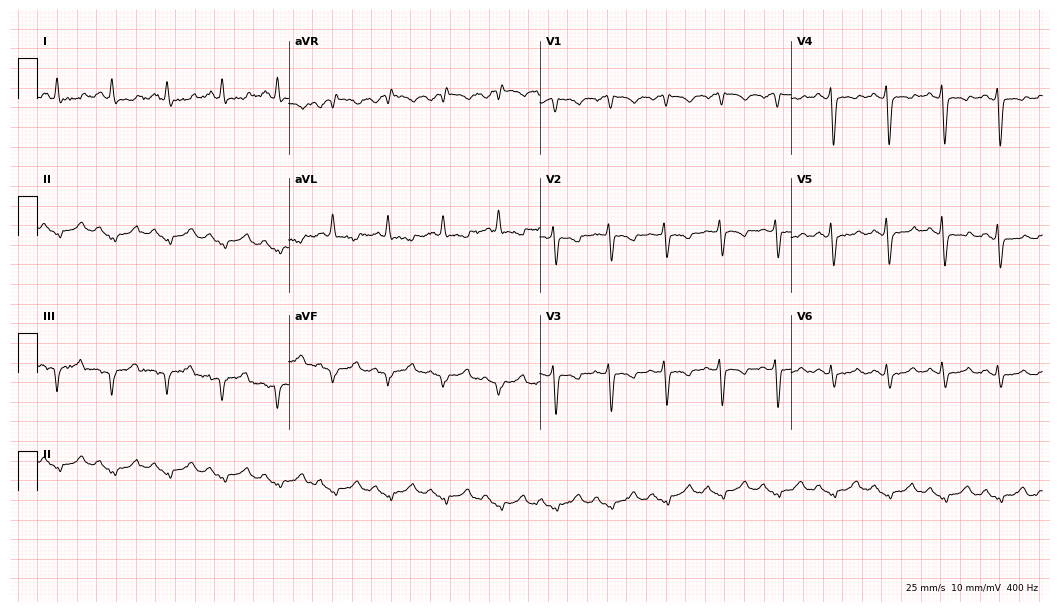
12-lead ECG (10.2-second recording at 400 Hz) from a 70-year-old female patient. Findings include sinus tachycardia (a sinus rate of 100 beats per minute or more).